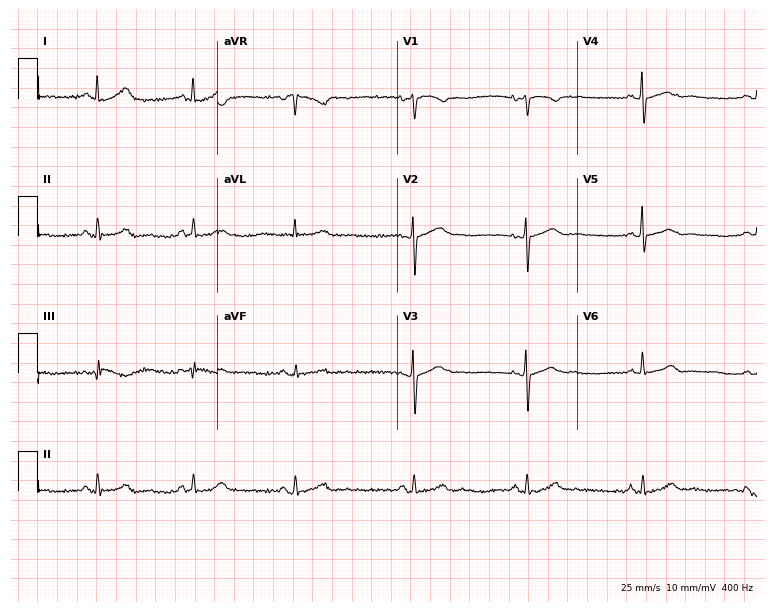
ECG — a woman, 54 years old. Labelled as a normal ECG.